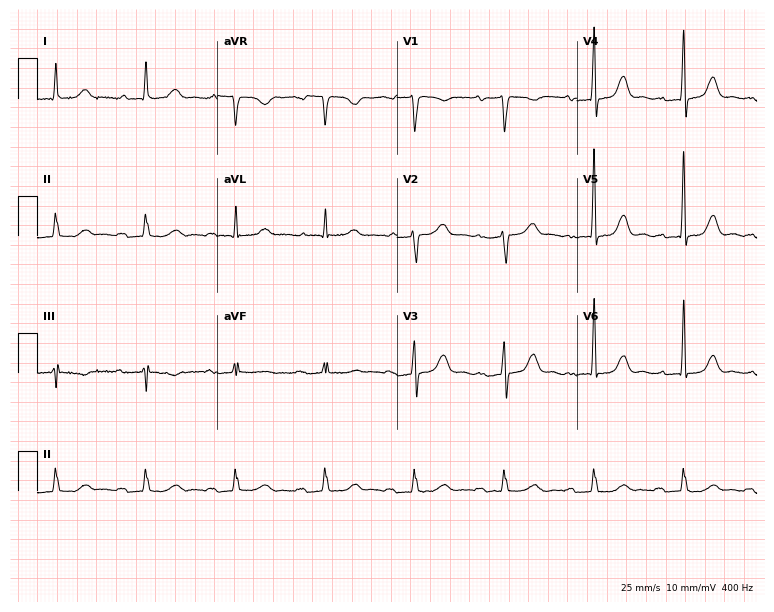
12-lead ECG (7.3-second recording at 400 Hz) from a man, 84 years old. Findings include first-degree AV block.